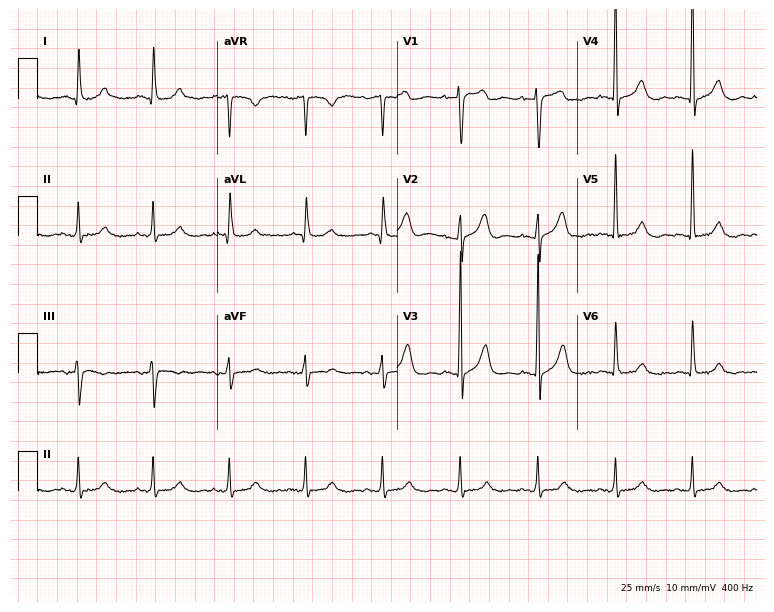
Standard 12-lead ECG recorded from a 76-year-old man (7.3-second recording at 400 Hz). None of these six findings is recorded: first-degree AV block, right bundle branch block, left bundle branch block, sinus bradycardia, atrial fibrillation, sinus tachycardia. Findings outside these six are not listed.